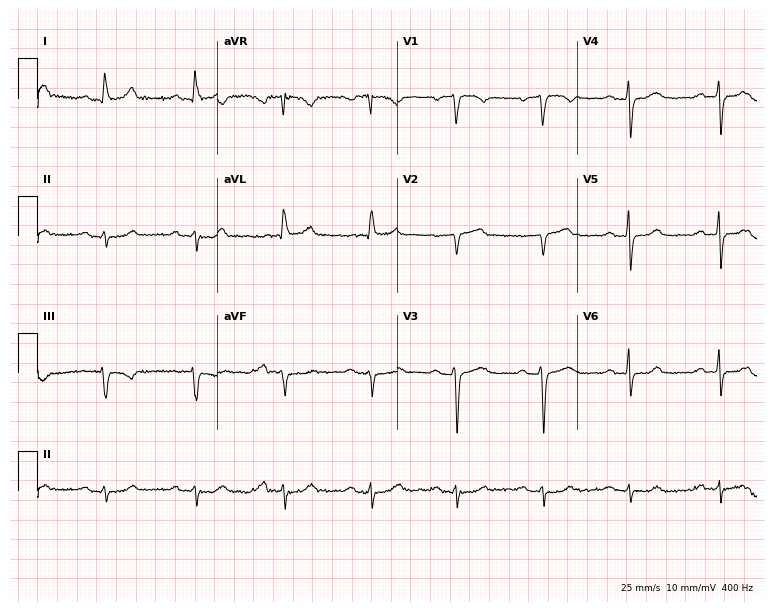
Standard 12-lead ECG recorded from a 68-year-old woman. The tracing shows first-degree AV block.